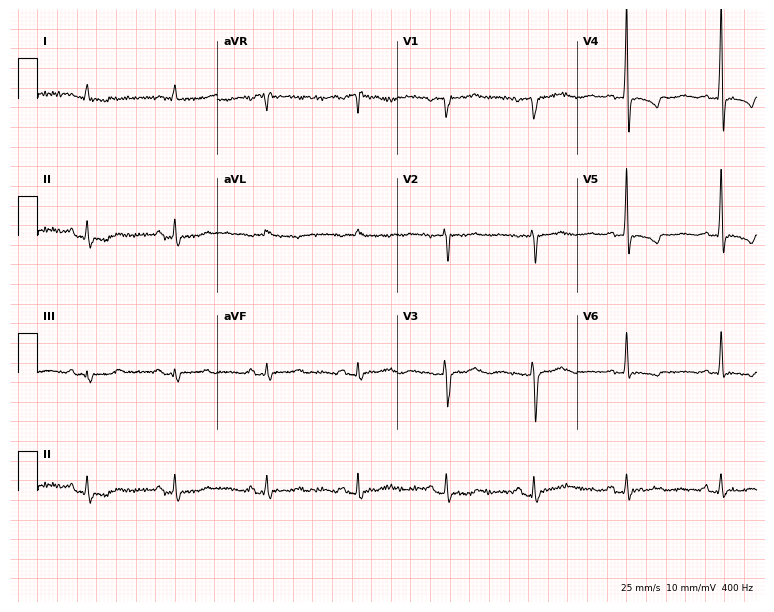
12-lead ECG (7.3-second recording at 400 Hz) from an 82-year-old female patient. Screened for six findings — first-degree AV block, right bundle branch block, left bundle branch block, sinus bradycardia, atrial fibrillation, sinus tachycardia — none is recorded.